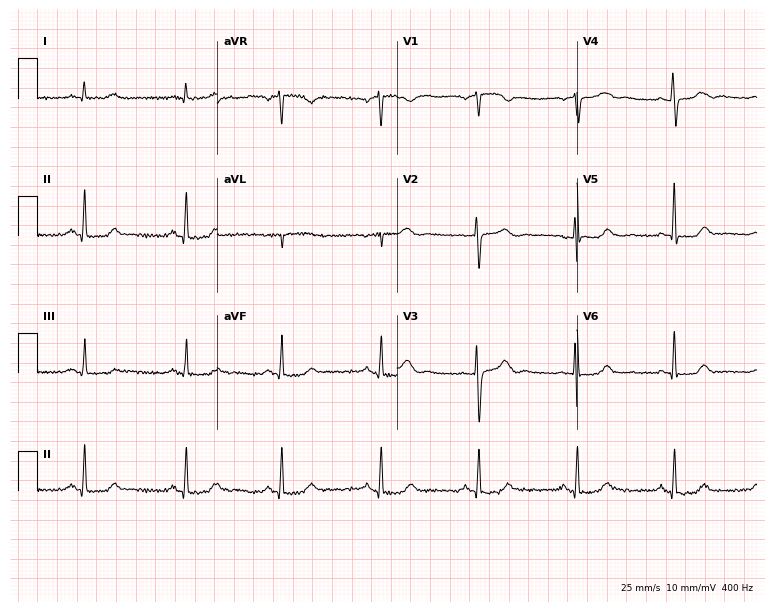
Standard 12-lead ECG recorded from a woman, 45 years old. Read as a normal ECG.